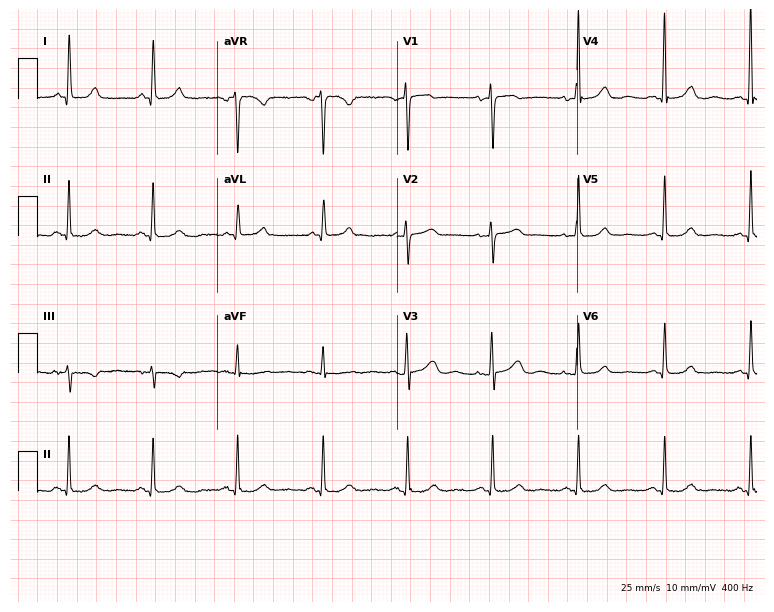
12-lead ECG from a 65-year-old female (7.3-second recording at 400 Hz). Recorded interpretation: within normal limits.